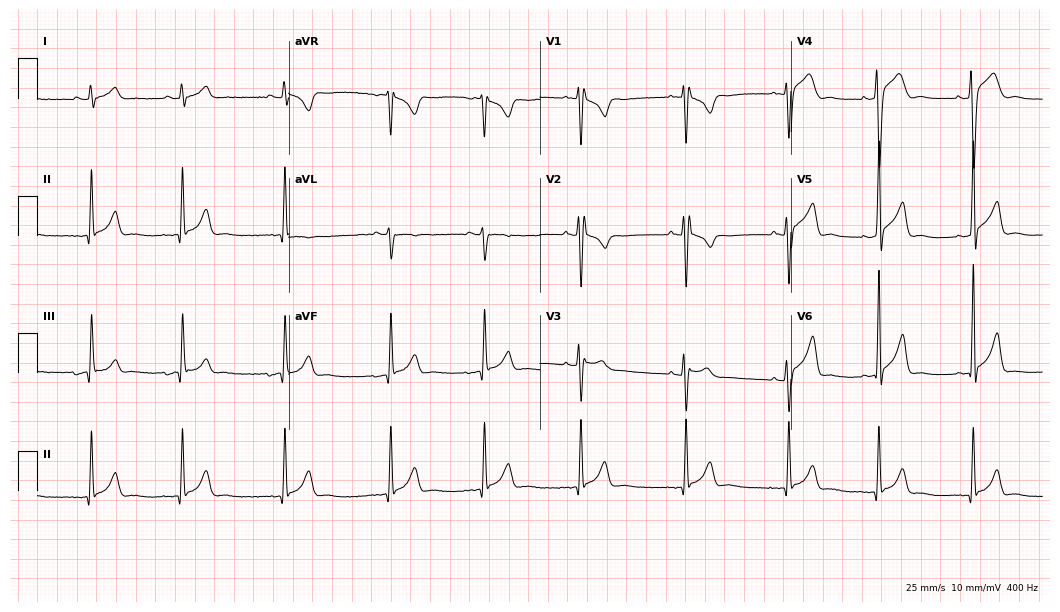
Electrocardiogram (10.2-second recording at 400 Hz), a 25-year-old female. Of the six screened findings (first-degree AV block, right bundle branch block, left bundle branch block, sinus bradycardia, atrial fibrillation, sinus tachycardia), none is recorded. Only these six findings were labelled.